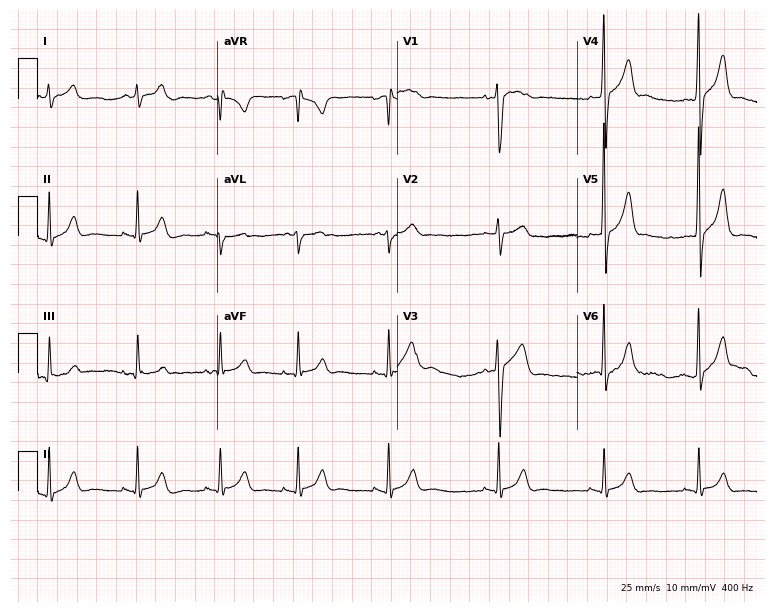
Resting 12-lead electrocardiogram (7.3-second recording at 400 Hz). Patient: a male, 17 years old. None of these six findings is recorded: first-degree AV block, right bundle branch block, left bundle branch block, sinus bradycardia, atrial fibrillation, sinus tachycardia.